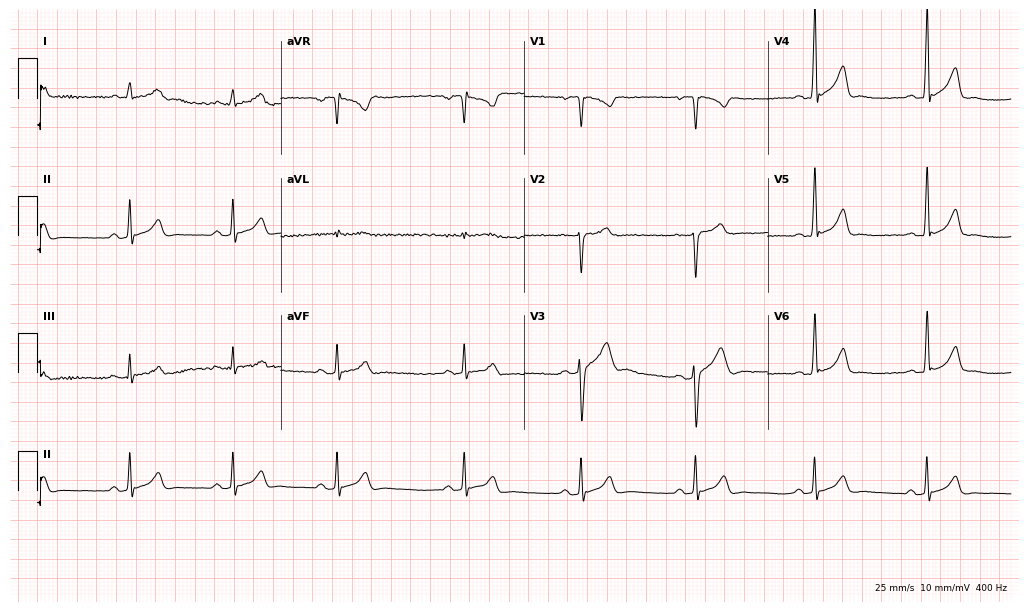
Resting 12-lead electrocardiogram (9.9-second recording at 400 Hz). Patient: a 19-year-old male. Read as a normal ECG.